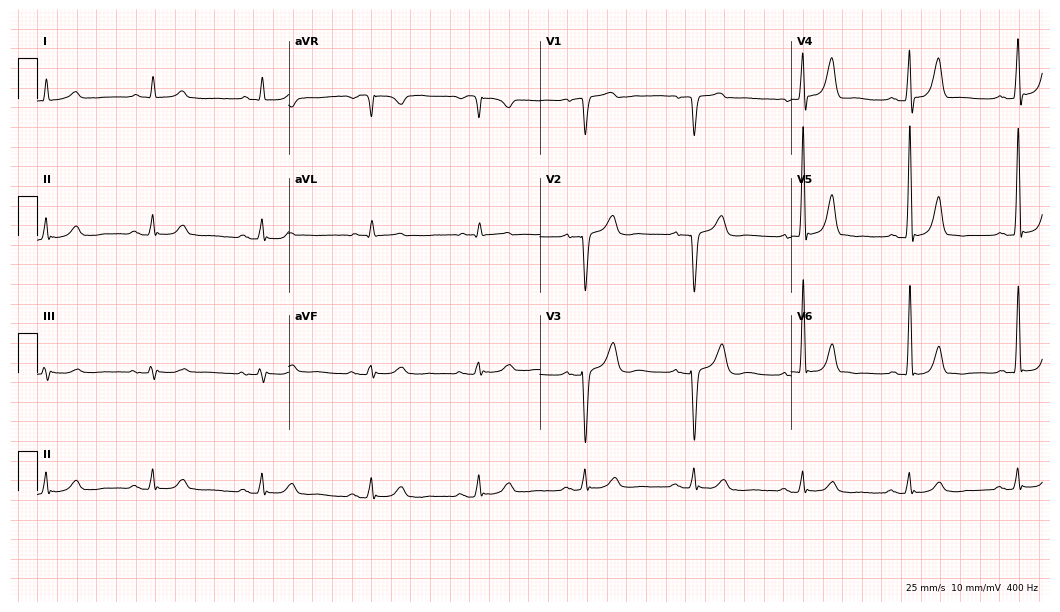
Standard 12-lead ECG recorded from a 72-year-old man. None of these six findings is recorded: first-degree AV block, right bundle branch block, left bundle branch block, sinus bradycardia, atrial fibrillation, sinus tachycardia. Only these six findings were labelled.